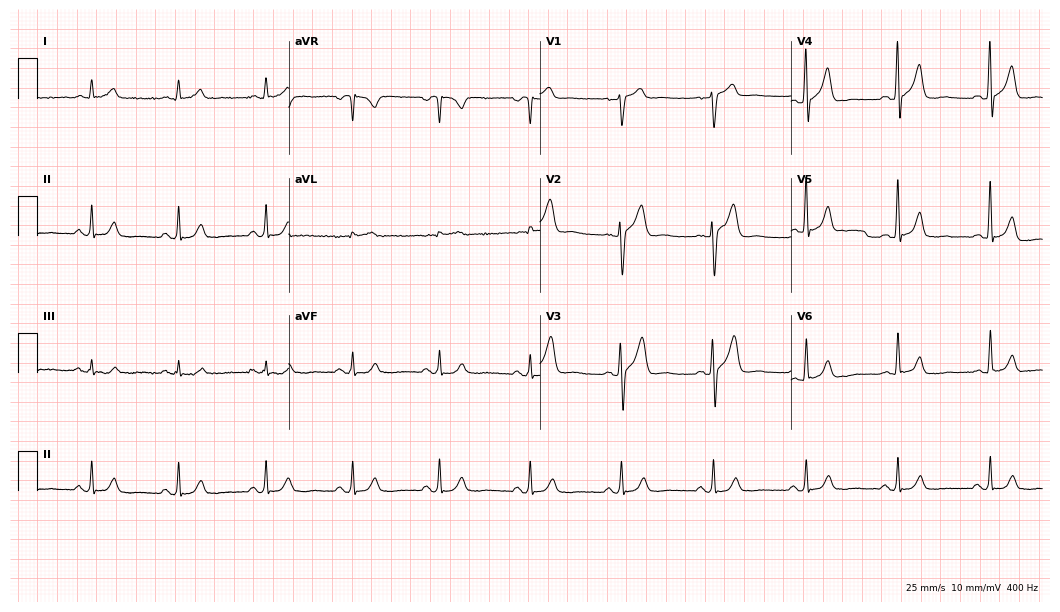
Standard 12-lead ECG recorded from a 51-year-old male (10.2-second recording at 400 Hz). Read as a normal ECG.